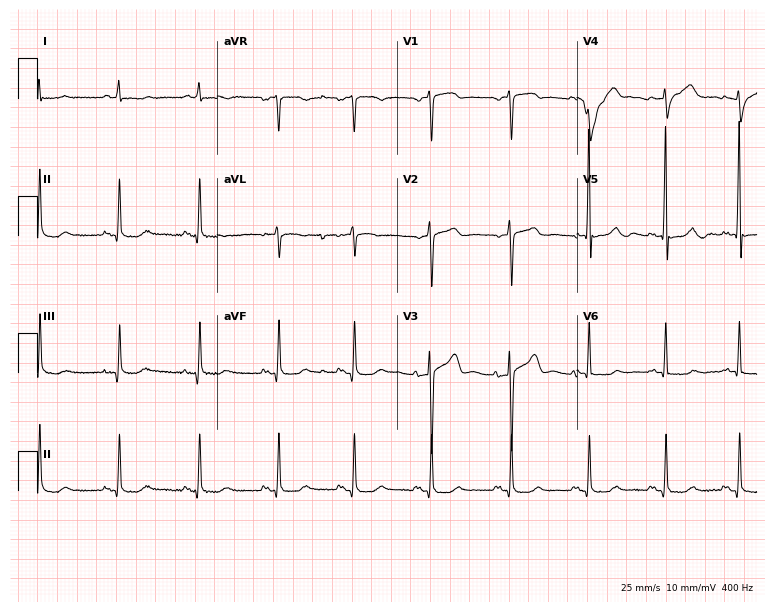
12-lead ECG from a male, 65 years old (7.3-second recording at 400 Hz). No first-degree AV block, right bundle branch block (RBBB), left bundle branch block (LBBB), sinus bradycardia, atrial fibrillation (AF) or sinus tachycardia recorded for this tracing.